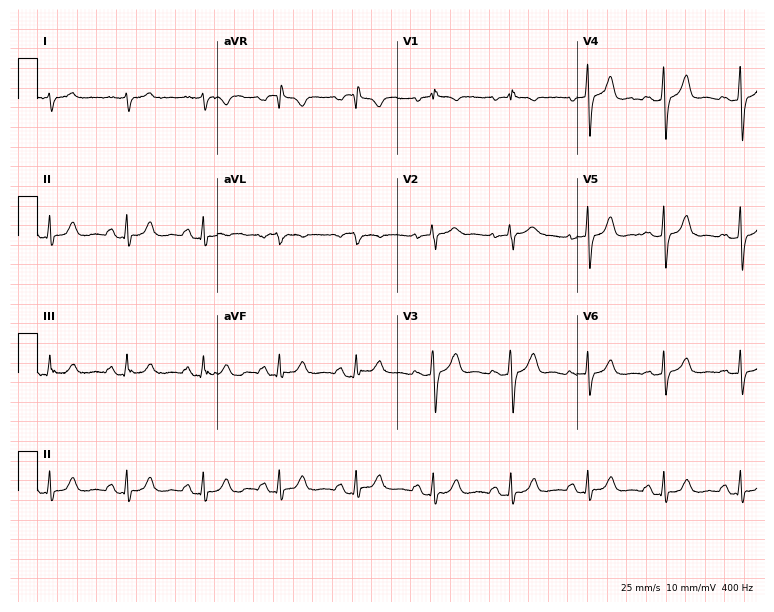
Electrocardiogram (7.3-second recording at 400 Hz), a male patient, 51 years old. Of the six screened findings (first-degree AV block, right bundle branch block, left bundle branch block, sinus bradycardia, atrial fibrillation, sinus tachycardia), none is recorded. Findings outside these six are not listed.